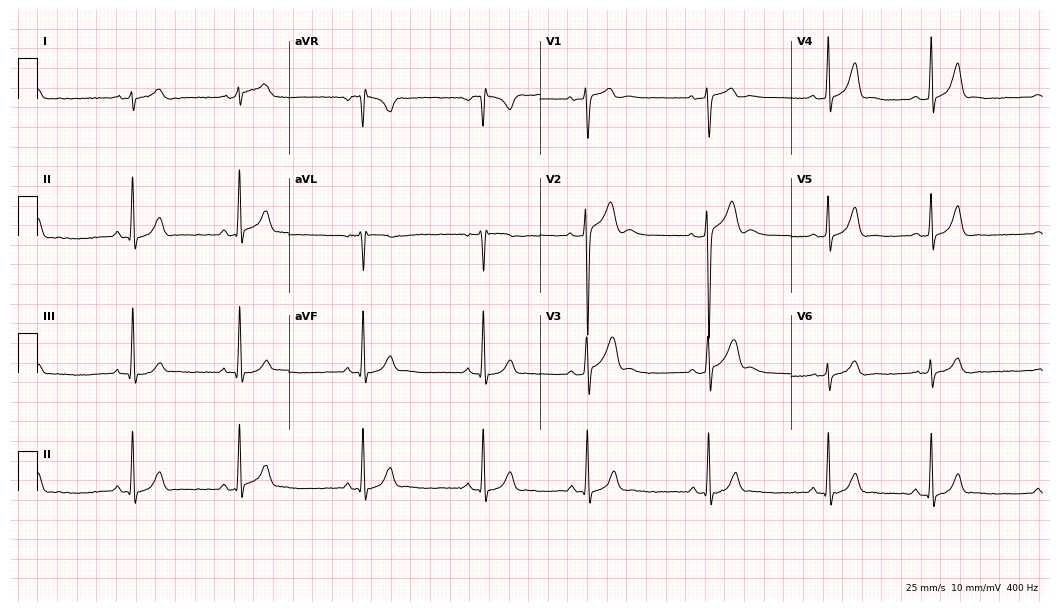
ECG — a man, 17 years old. Screened for six findings — first-degree AV block, right bundle branch block, left bundle branch block, sinus bradycardia, atrial fibrillation, sinus tachycardia — none is recorded.